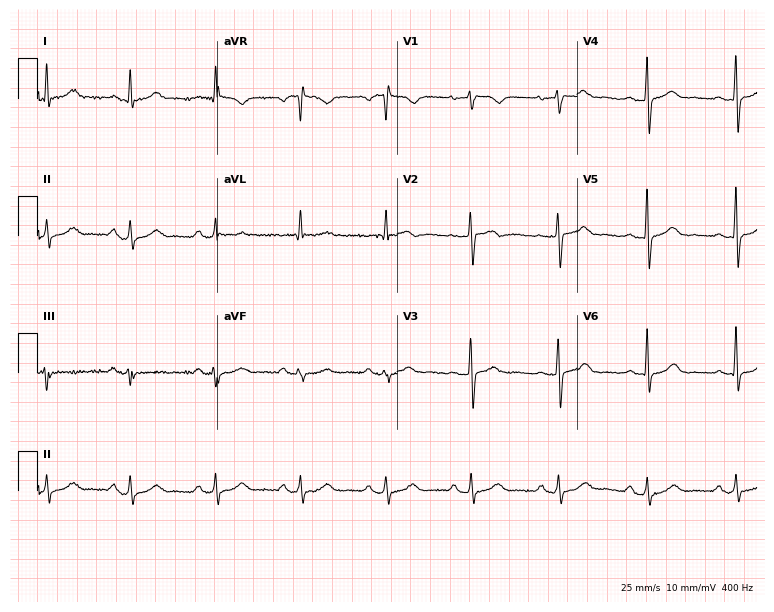
12-lead ECG from a 63-year-old female patient. No first-degree AV block, right bundle branch block, left bundle branch block, sinus bradycardia, atrial fibrillation or sinus tachycardia recorded for this tracing. Findings outside these six are not listed.